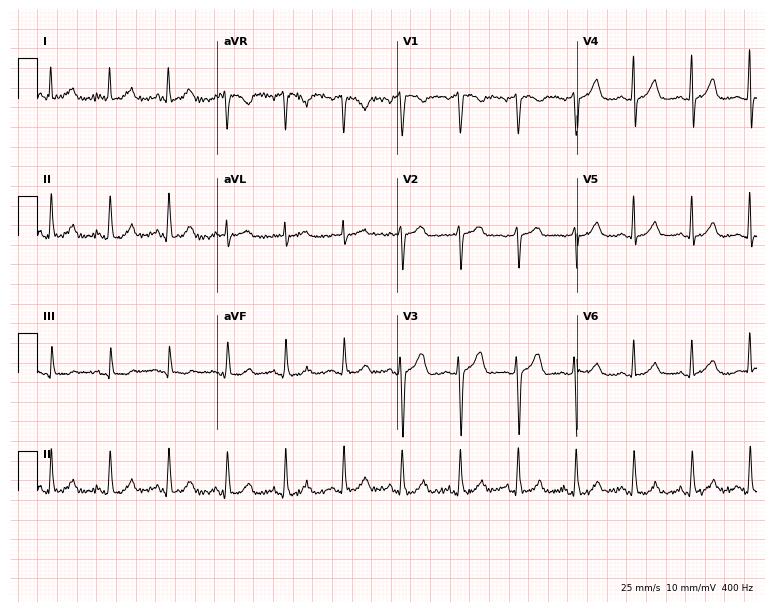
ECG (7.3-second recording at 400 Hz) — a 52-year-old female. Findings include sinus tachycardia (a sinus rate of 100 beats per minute or more).